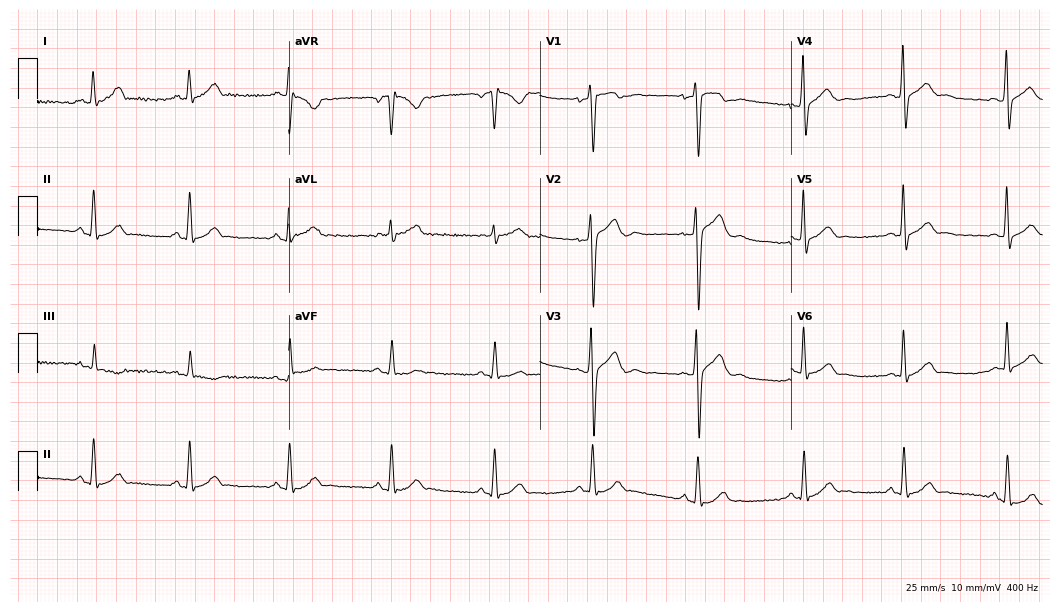
Resting 12-lead electrocardiogram (10.2-second recording at 400 Hz). Patient: a 66-year-old male. None of these six findings is recorded: first-degree AV block, right bundle branch block, left bundle branch block, sinus bradycardia, atrial fibrillation, sinus tachycardia. Other findings, if any, are not listed.